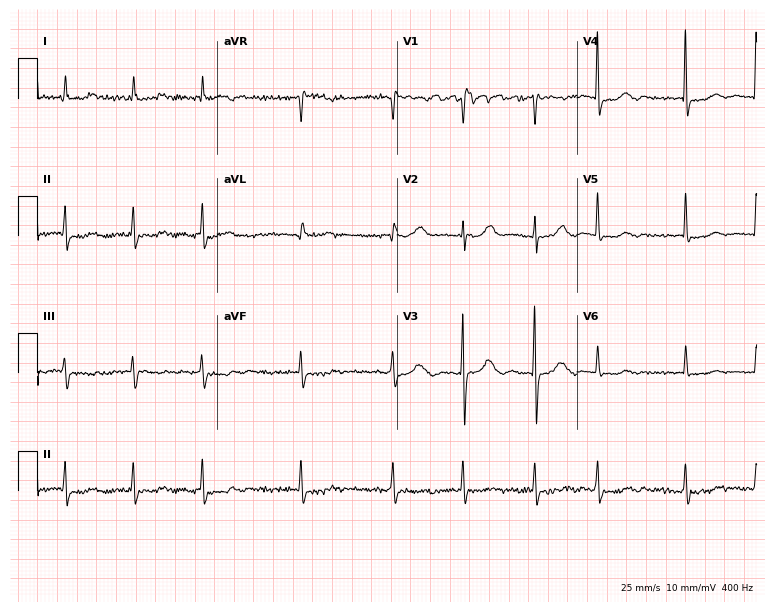
12-lead ECG (7.3-second recording at 400 Hz) from a female, 82 years old. Findings include atrial fibrillation.